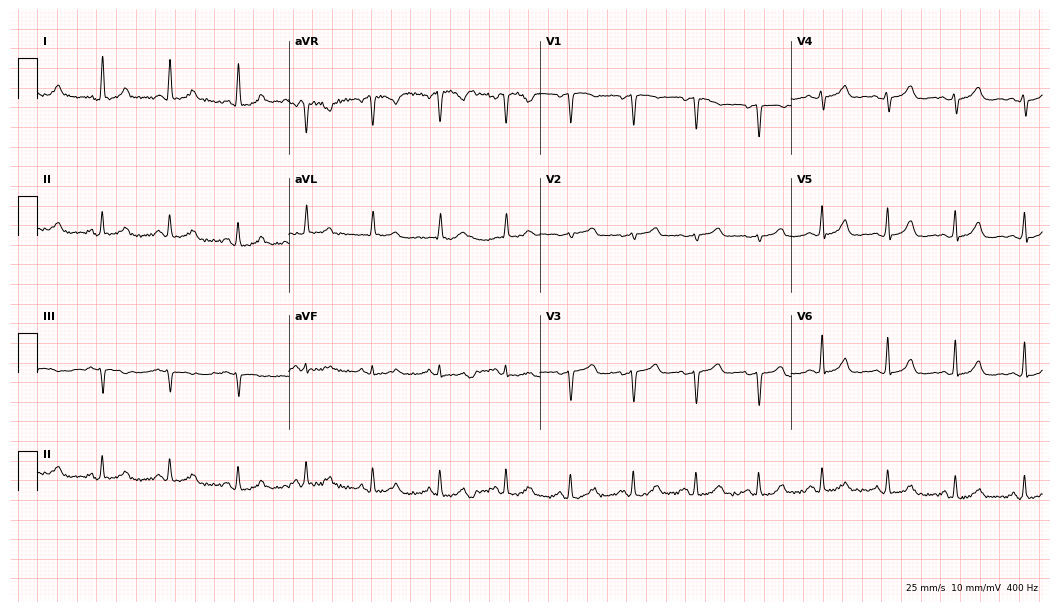
Standard 12-lead ECG recorded from a female patient, 50 years old. Read as a normal ECG.